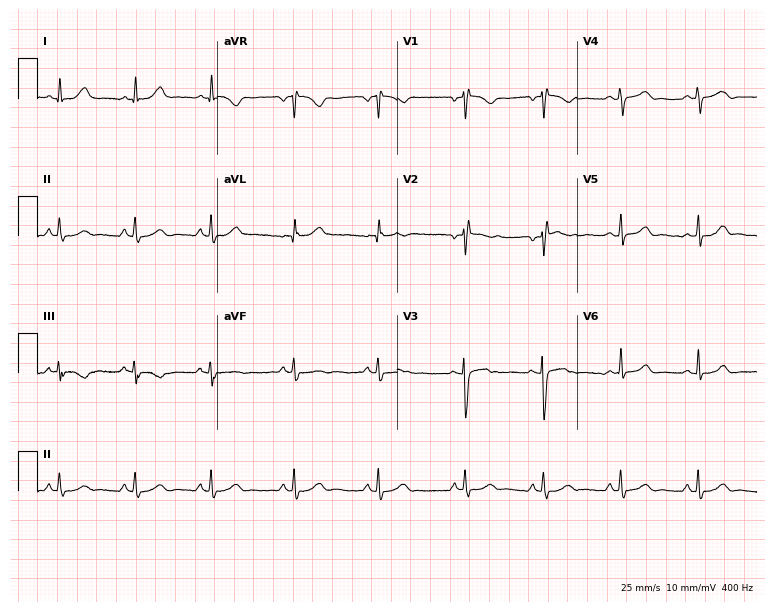
12-lead ECG from a woman, 38 years old. Screened for six findings — first-degree AV block, right bundle branch block (RBBB), left bundle branch block (LBBB), sinus bradycardia, atrial fibrillation (AF), sinus tachycardia — none is recorded.